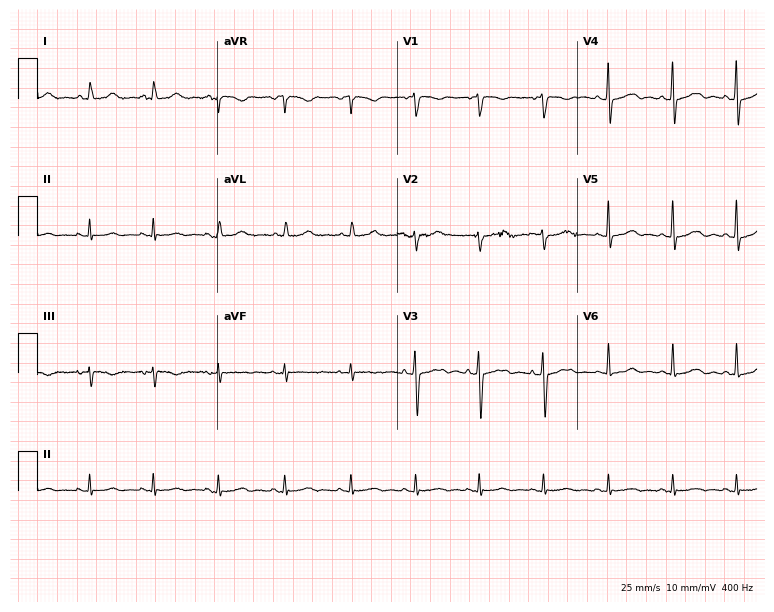
Standard 12-lead ECG recorded from a 38-year-old female. Read as a normal ECG.